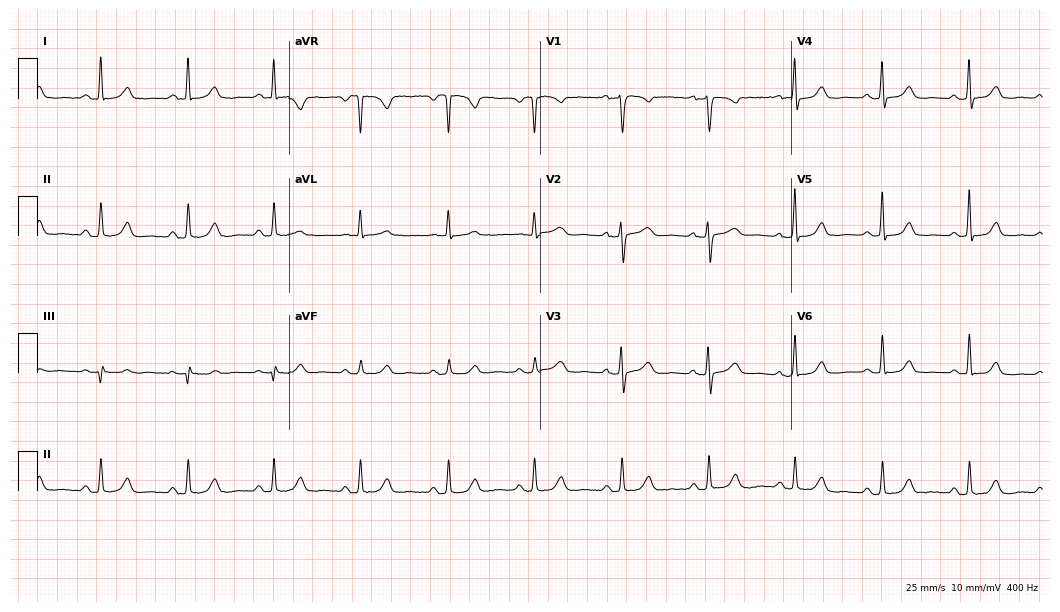
Standard 12-lead ECG recorded from a female patient, 68 years old (10.2-second recording at 400 Hz). None of these six findings is recorded: first-degree AV block, right bundle branch block (RBBB), left bundle branch block (LBBB), sinus bradycardia, atrial fibrillation (AF), sinus tachycardia. Findings outside these six are not listed.